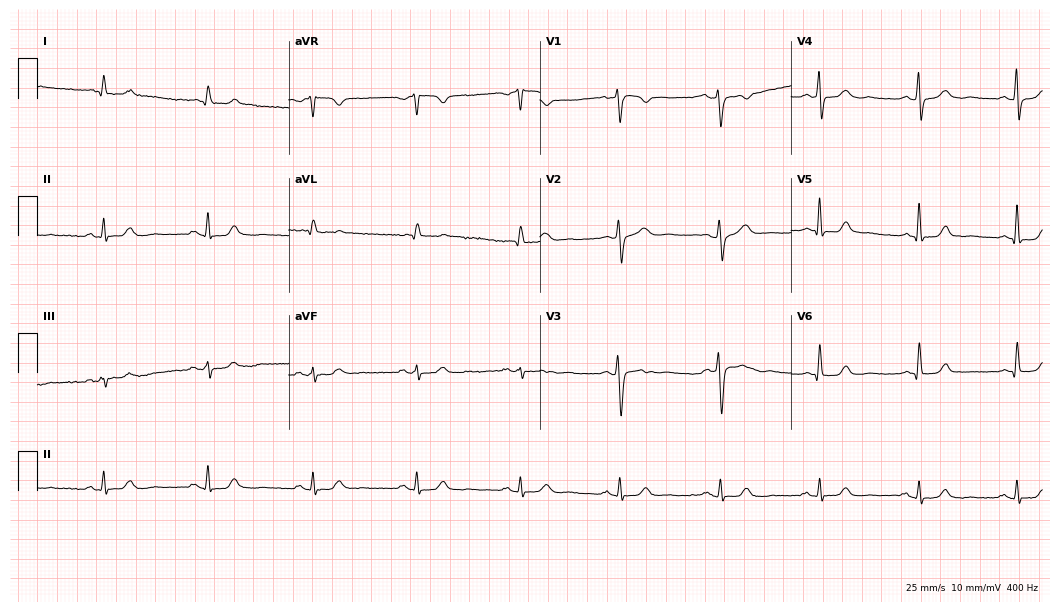
12-lead ECG from a 54-year-old woman. No first-degree AV block, right bundle branch block (RBBB), left bundle branch block (LBBB), sinus bradycardia, atrial fibrillation (AF) or sinus tachycardia recorded for this tracing. Findings outside these six are not listed.